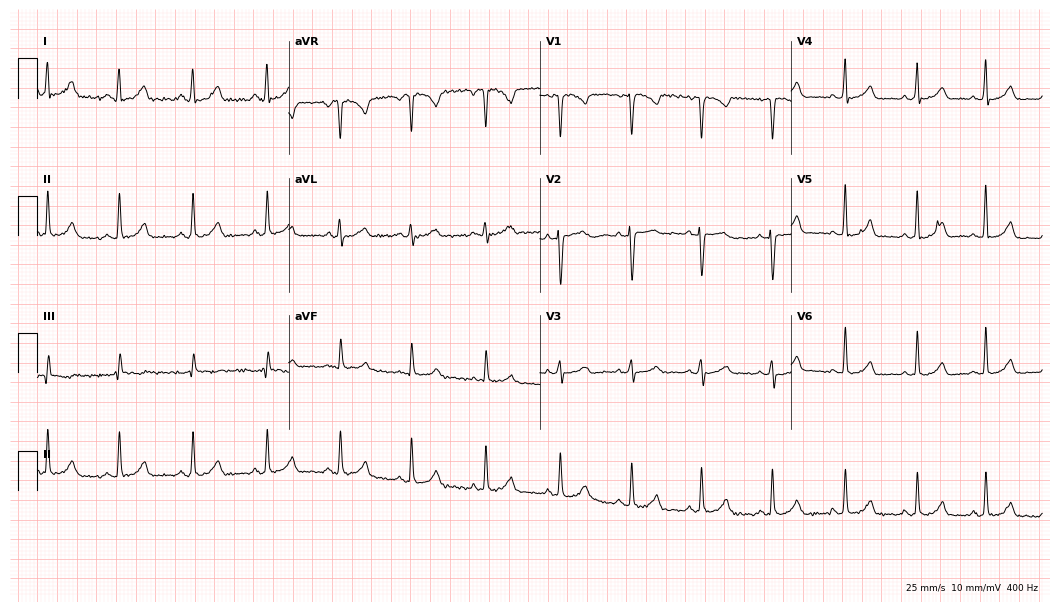
Electrocardiogram, a woman, 40 years old. Overall reading on record: normal ECG.